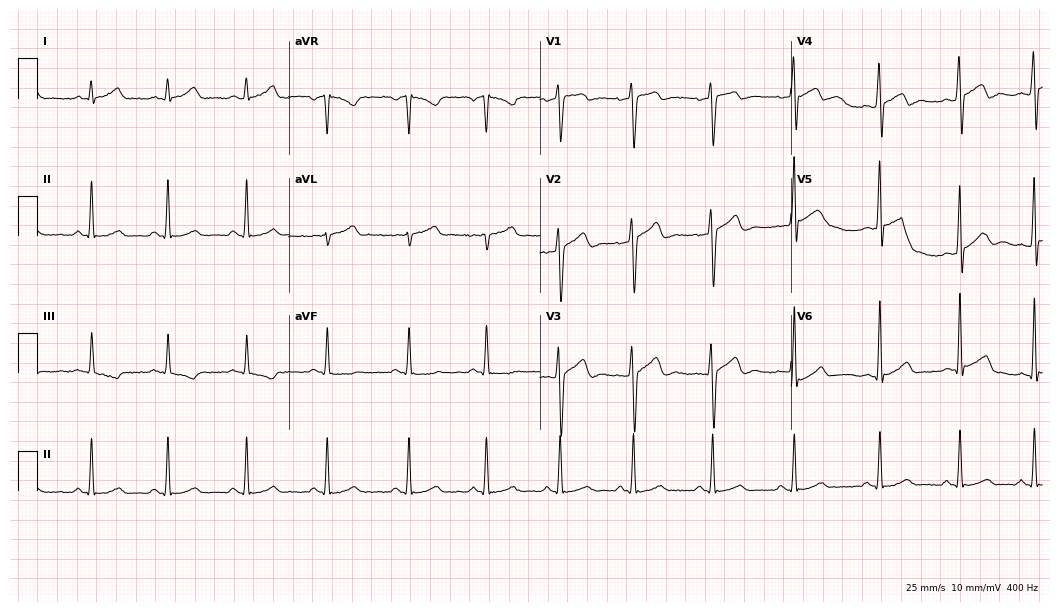
ECG — a 21-year-old male patient. Labelled as a normal ECG.